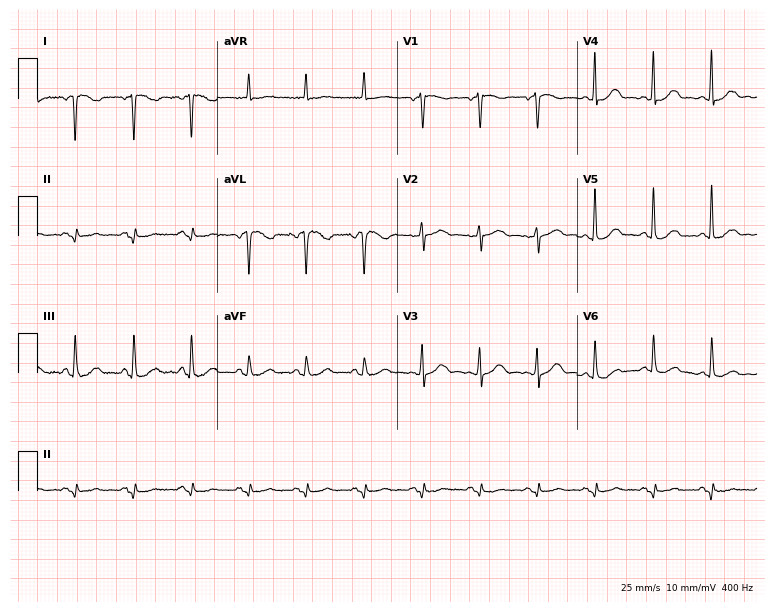
Electrocardiogram, a female, 74 years old. Of the six screened findings (first-degree AV block, right bundle branch block, left bundle branch block, sinus bradycardia, atrial fibrillation, sinus tachycardia), none is recorded. Findings outside these six are not listed.